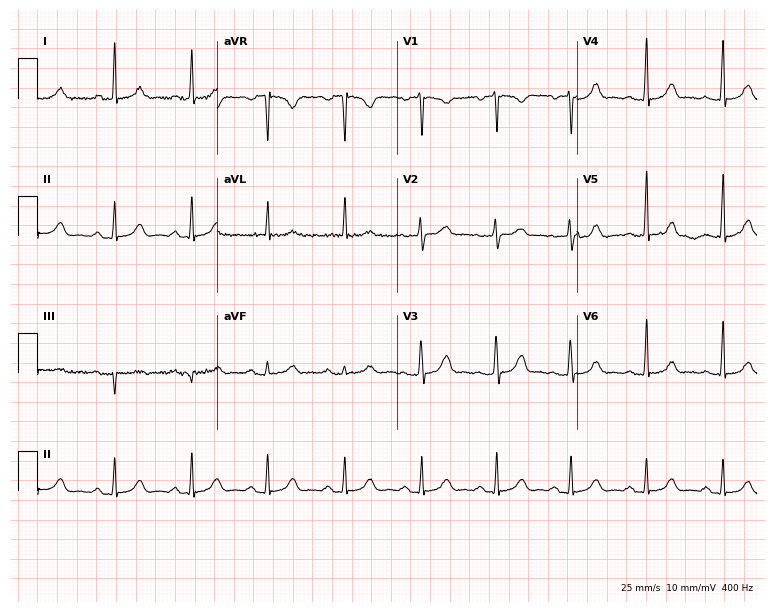
12-lead ECG from a 53-year-old female. Recorded interpretation: within normal limits.